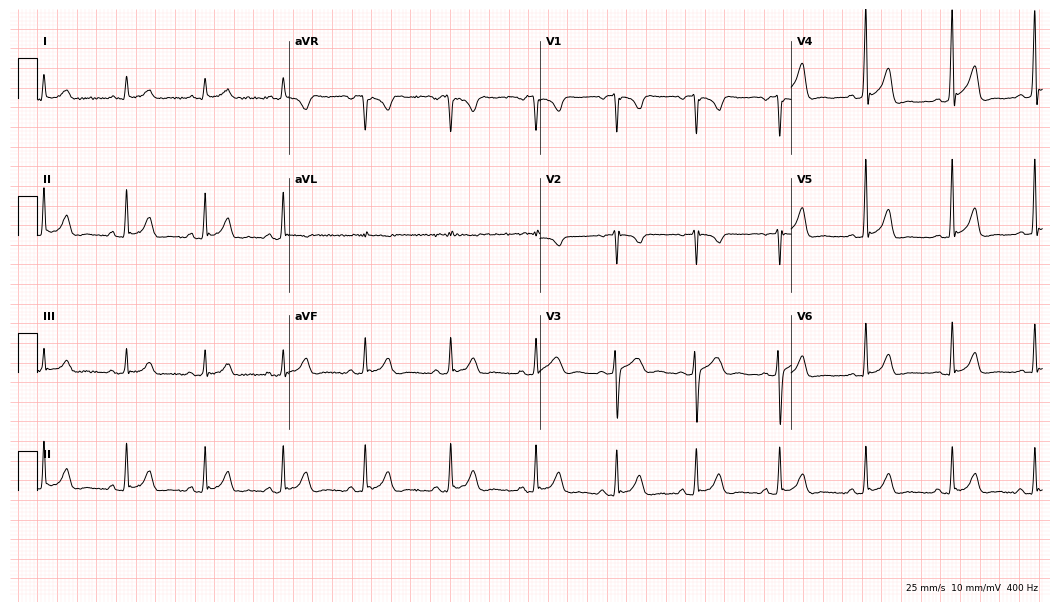
ECG — a male patient, 32 years old. Screened for six findings — first-degree AV block, right bundle branch block, left bundle branch block, sinus bradycardia, atrial fibrillation, sinus tachycardia — none is recorded. Other findings, if any, are not listed.